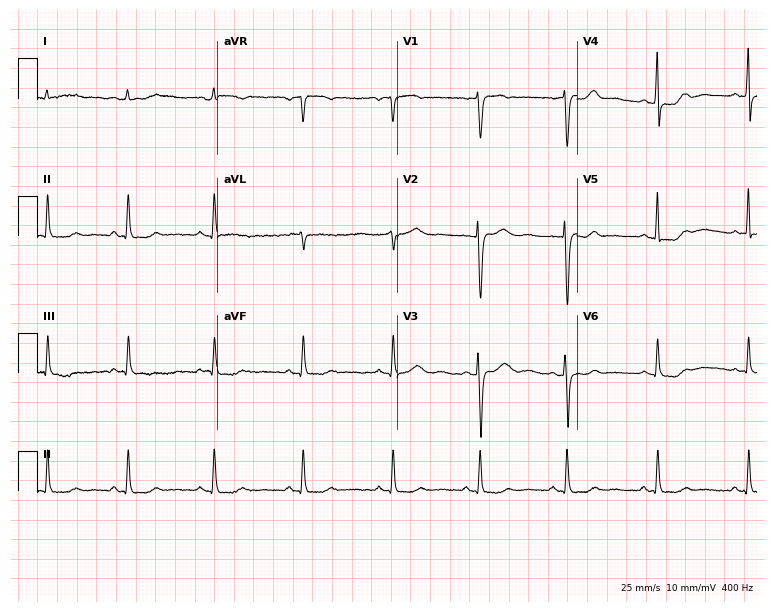
12-lead ECG from a woman, 47 years old. No first-degree AV block, right bundle branch block, left bundle branch block, sinus bradycardia, atrial fibrillation or sinus tachycardia recorded for this tracing. Other findings, if any, are not listed.